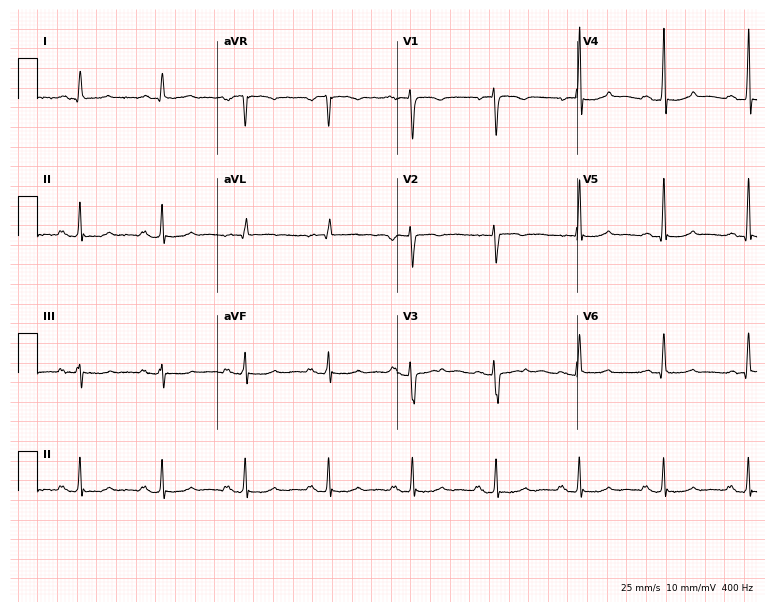
ECG (7.3-second recording at 400 Hz) — a female patient, 49 years old. Labelled as a normal ECG.